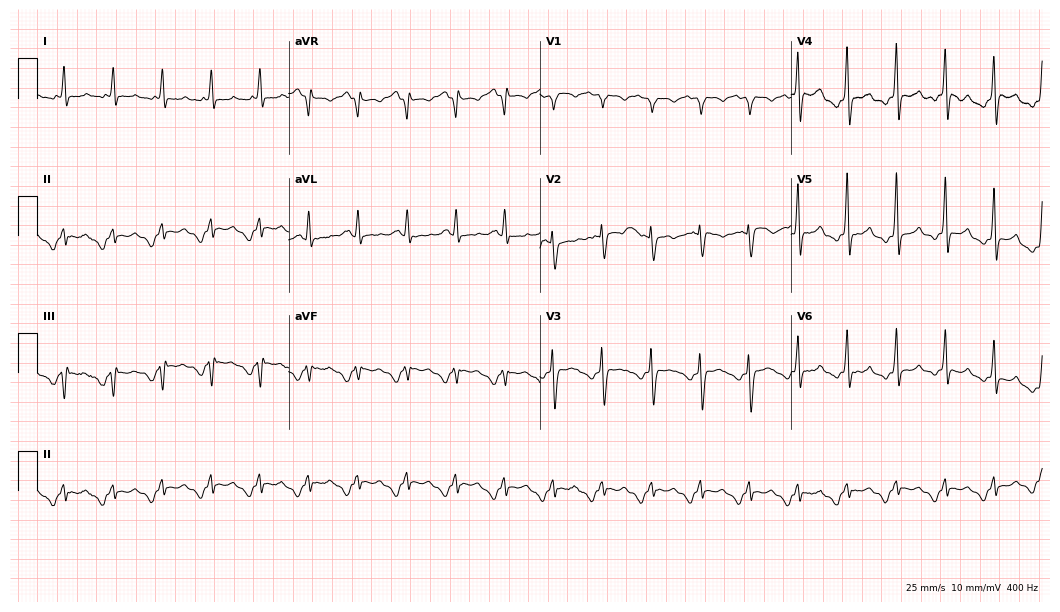
Electrocardiogram (10.2-second recording at 400 Hz), a man, 73 years old. Of the six screened findings (first-degree AV block, right bundle branch block, left bundle branch block, sinus bradycardia, atrial fibrillation, sinus tachycardia), none is recorded. Other findings, if any, are not listed.